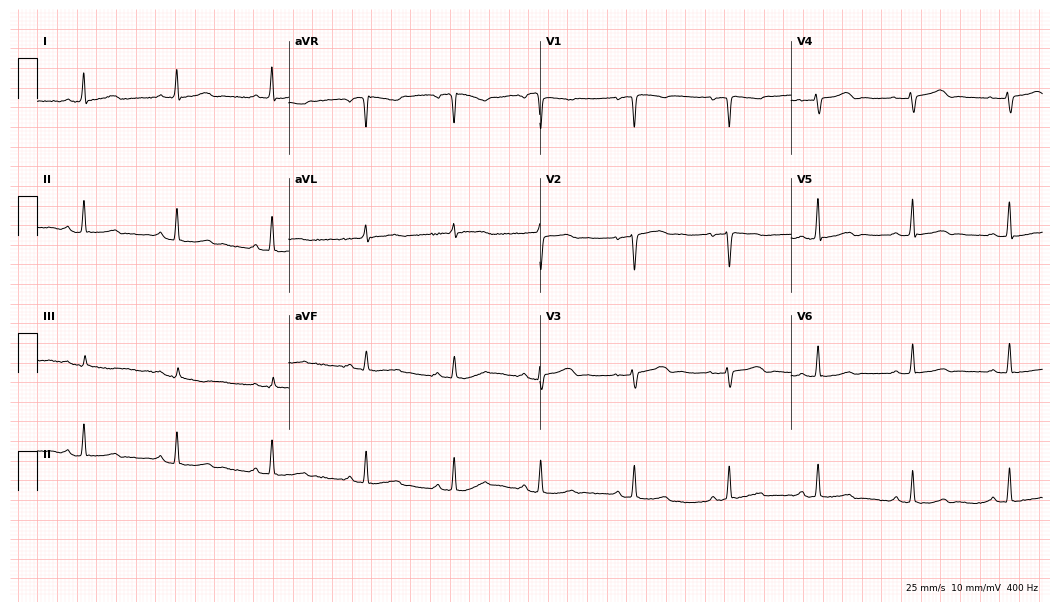
Standard 12-lead ECG recorded from a female, 41 years old. None of these six findings is recorded: first-degree AV block, right bundle branch block, left bundle branch block, sinus bradycardia, atrial fibrillation, sinus tachycardia.